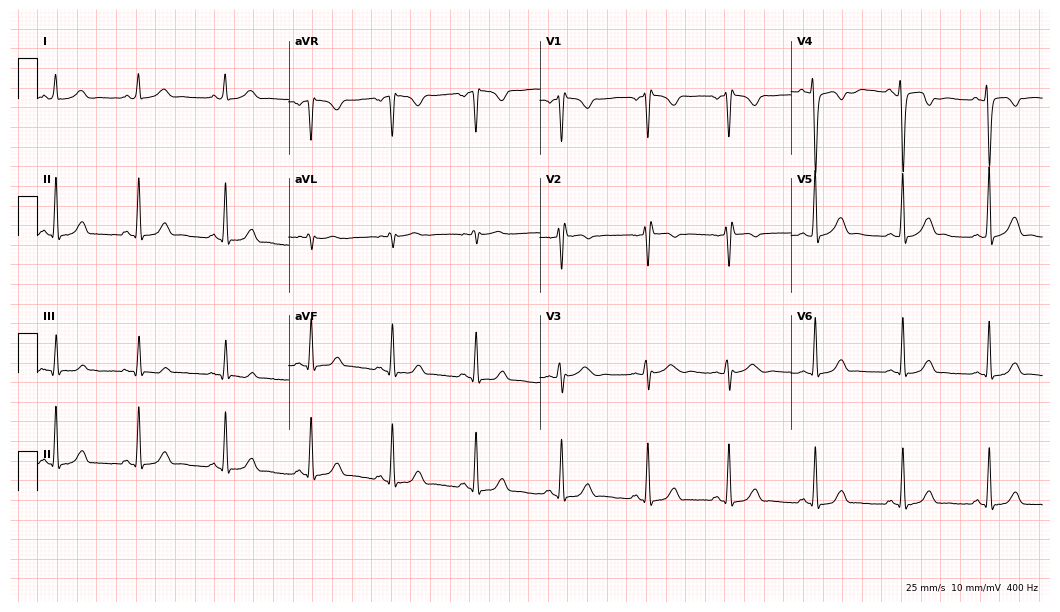
12-lead ECG from a female patient, 26 years old. Screened for six findings — first-degree AV block, right bundle branch block, left bundle branch block, sinus bradycardia, atrial fibrillation, sinus tachycardia — none is recorded. Other findings, if any, are not listed.